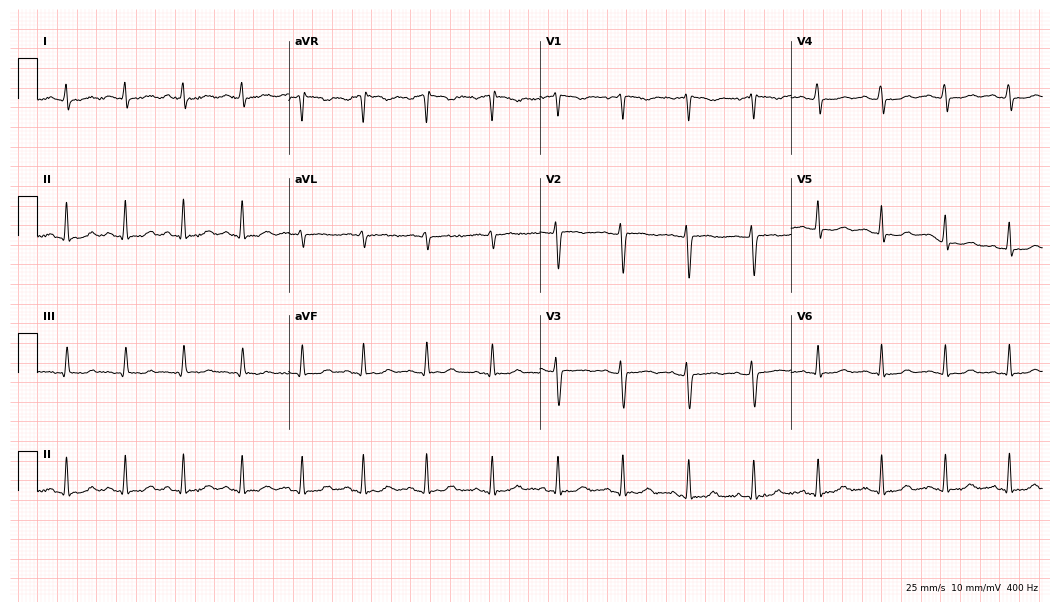
ECG (10.2-second recording at 400 Hz) — a woman, 35 years old. Screened for six findings — first-degree AV block, right bundle branch block, left bundle branch block, sinus bradycardia, atrial fibrillation, sinus tachycardia — none is recorded. Only these six findings were labelled.